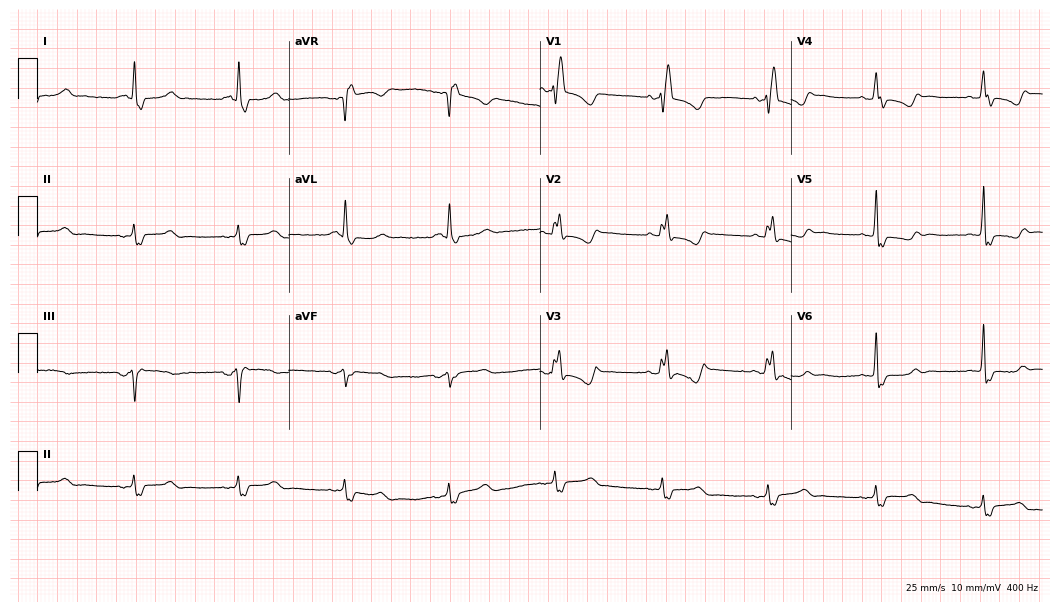
Resting 12-lead electrocardiogram (10.2-second recording at 400 Hz). Patient: a 74-year-old woman. The tracing shows right bundle branch block.